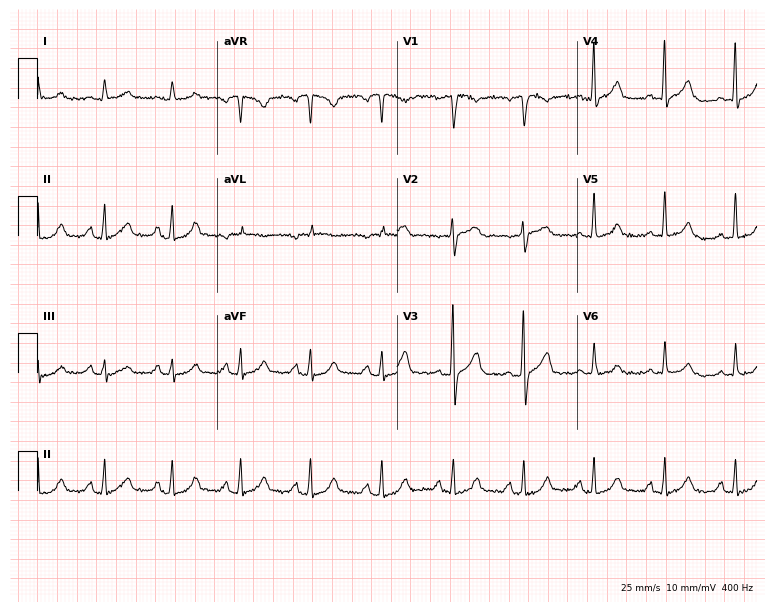
Standard 12-lead ECG recorded from a 61-year-old man (7.3-second recording at 400 Hz). Read as a normal ECG.